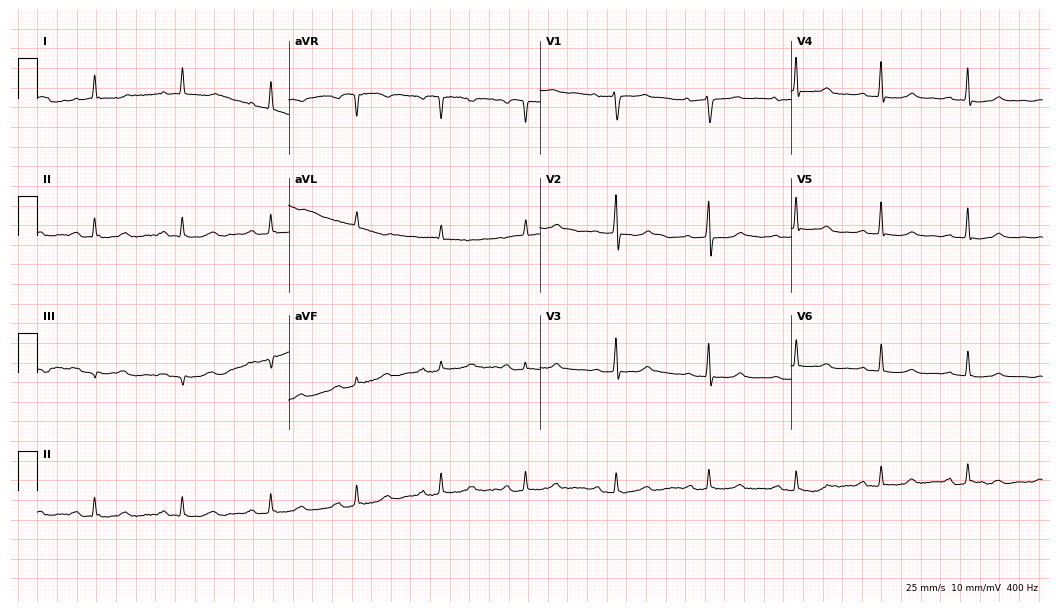
Electrocardiogram (10.2-second recording at 400 Hz), a female patient, 48 years old. Of the six screened findings (first-degree AV block, right bundle branch block, left bundle branch block, sinus bradycardia, atrial fibrillation, sinus tachycardia), none is recorded.